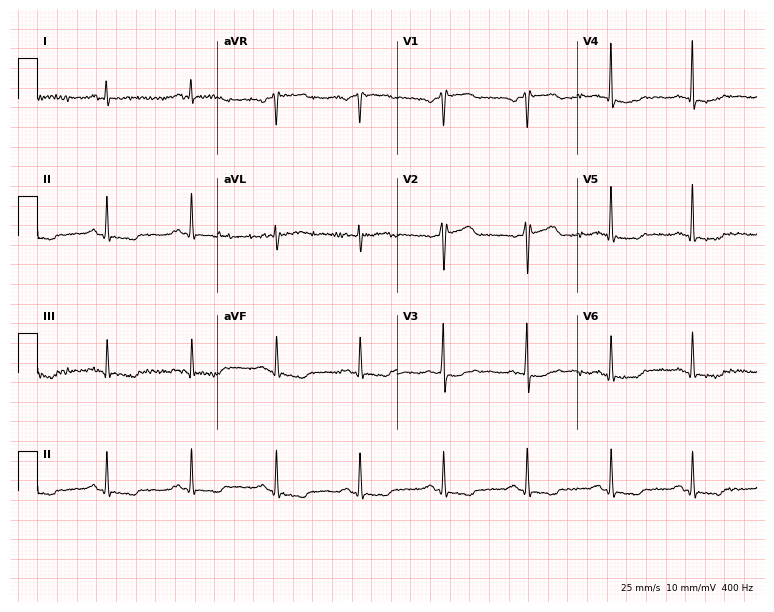
Standard 12-lead ECG recorded from a male, 68 years old (7.3-second recording at 400 Hz). None of these six findings is recorded: first-degree AV block, right bundle branch block (RBBB), left bundle branch block (LBBB), sinus bradycardia, atrial fibrillation (AF), sinus tachycardia. Other findings, if any, are not listed.